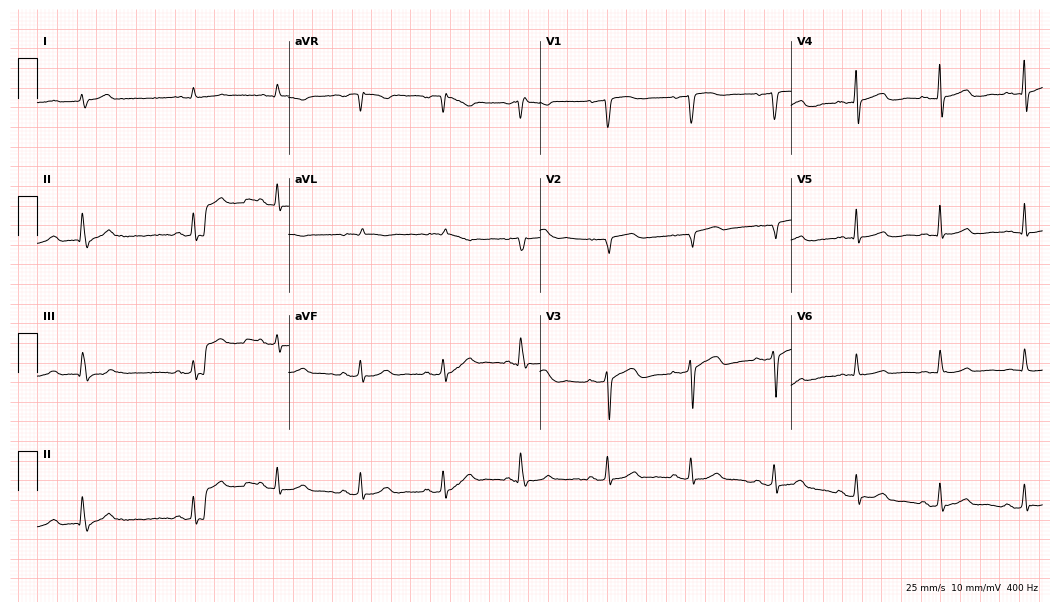
Electrocardiogram (10.2-second recording at 400 Hz), a 76-year-old male patient. Of the six screened findings (first-degree AV block, right bundle branch block, left bundle branch block, sinus bradycardia, atrial fibrillation, sinus tachycardia), none is recorded. Only these six findings were labelled.